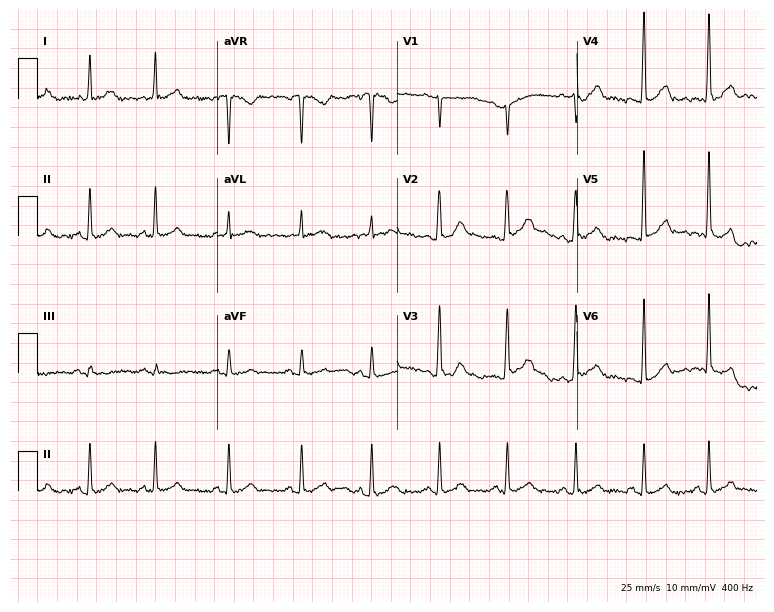
Resting 12-lead electrocardiogram. Patient: a male, 24 years old. Read as a normal ECG.